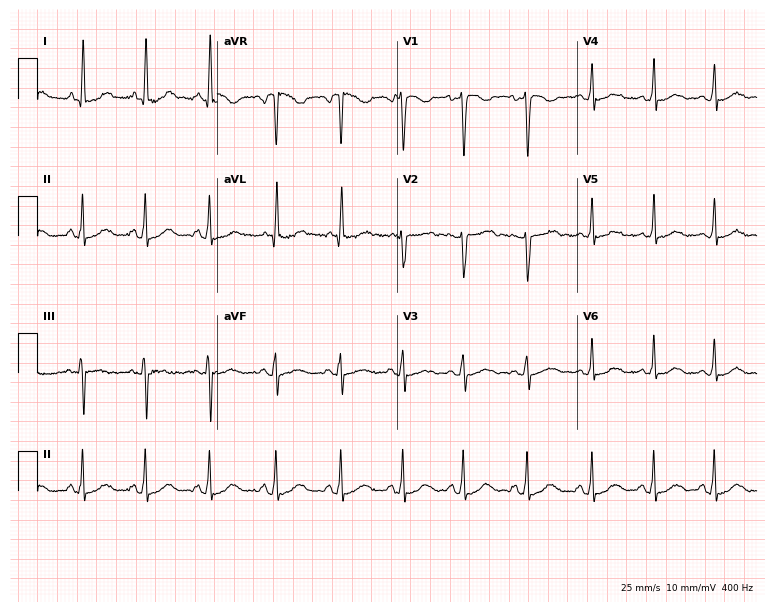
12-lead ECG (7.3-second recording at 400 Hz) from a 17-year-old woman. Screened for six findings — first-degree AV block, right bundle branch block, left bundle branch block, sinus bradycardia, atrial fibrillation, sinus tachycardia — none is recorded. Findings outside these six are not listed.